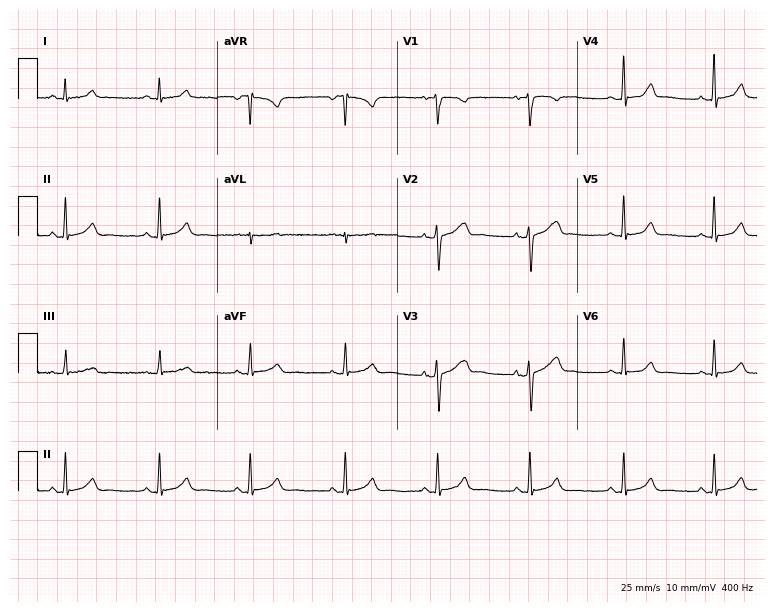
Standard 12-lead ECG recorded from a woman, 33 years old (7.3-second recording at 400 Hz). Read as a normal ECG.